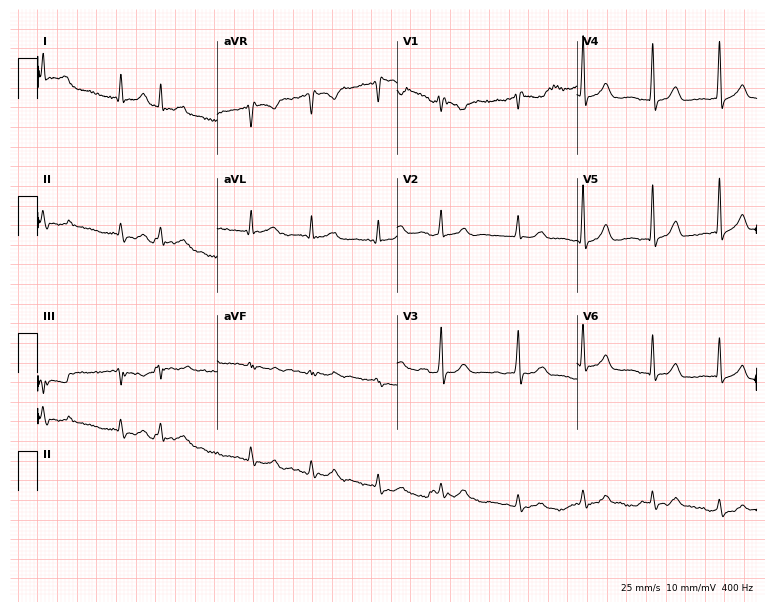
Resting 12-lead electrocardiogram. Patient: a woman, 83 years old. None of these six findings is recorded: first-degree AV block, right bundle branch block, left bundle branch block, sinus bradycardia, atrial fibrillation, sinus tachycardia.